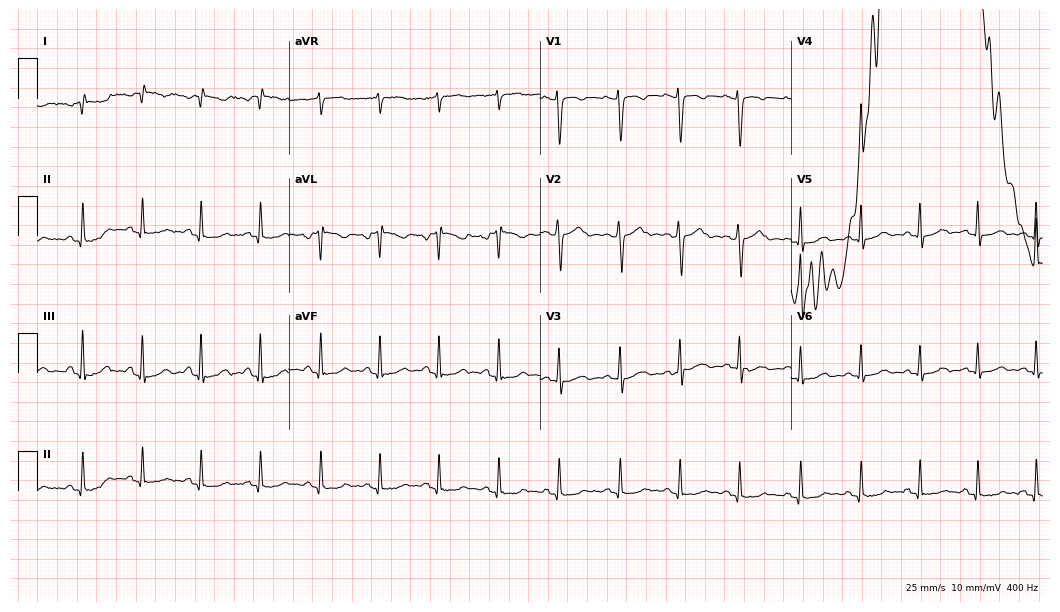
Electrocardiogram (10.2-second recording at 400 Hz), a female, 26 years old. Of the six screened findings (first-degree AV block, right bundle branch block, left bundle branch block, sinus bradycardia, atrial fibrillation, sinus tachycardia), none is recorded. Other findings, if any, are not listed.